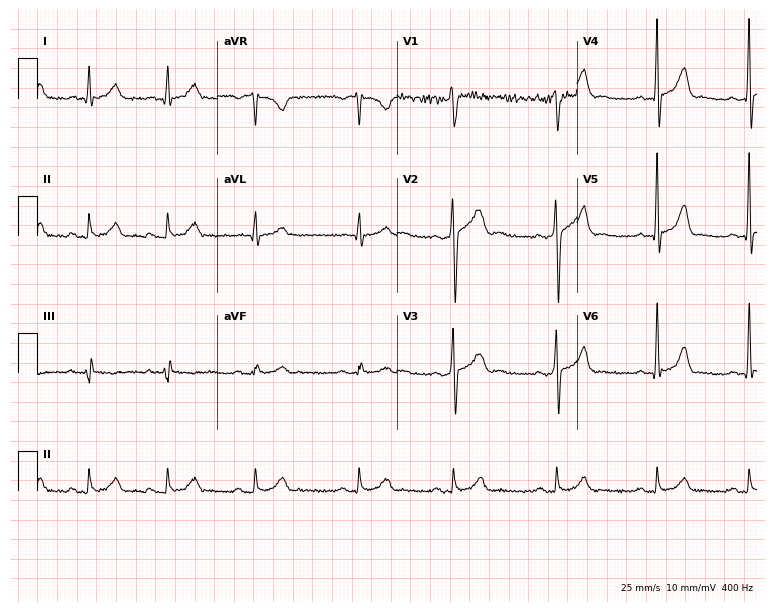
Standard 12-lead ECG recorded from a 37-year-old male patient (7.3-second recording at 400 Hz). Read as a normal ECG.